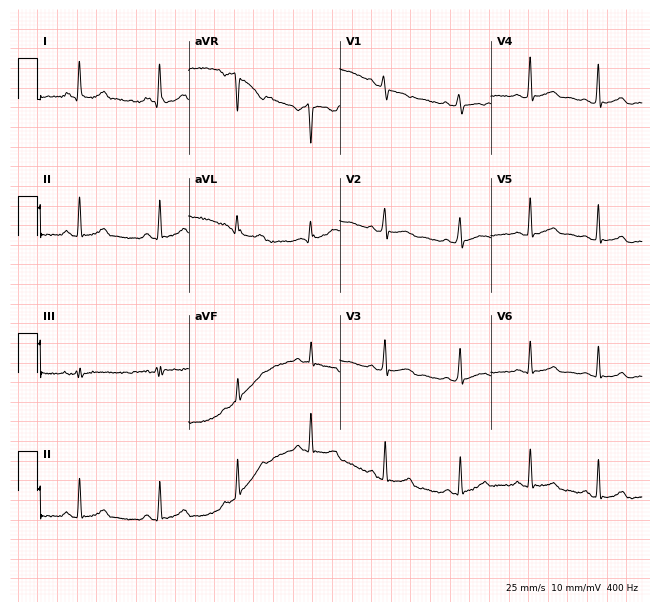
Electrocardiogram (6.2-second recording at 400 Hz), a woman, 26 years old. Overall reading on record: normal ECG.